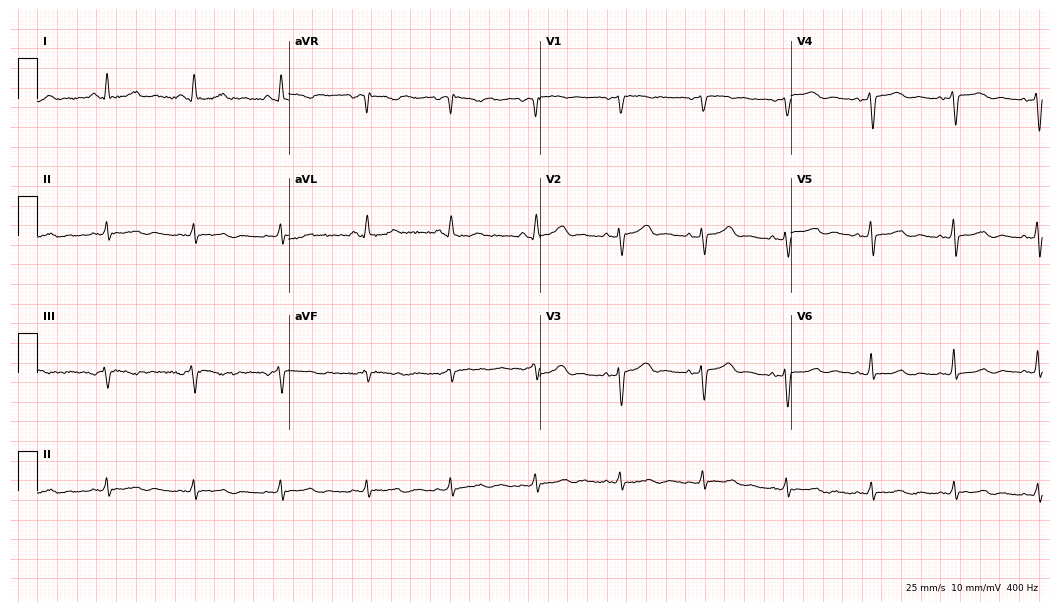
12-lead ECG (10.2-second recording at 400 Hz) from a 57-year-old female patient. Labelled as a normal ECG.